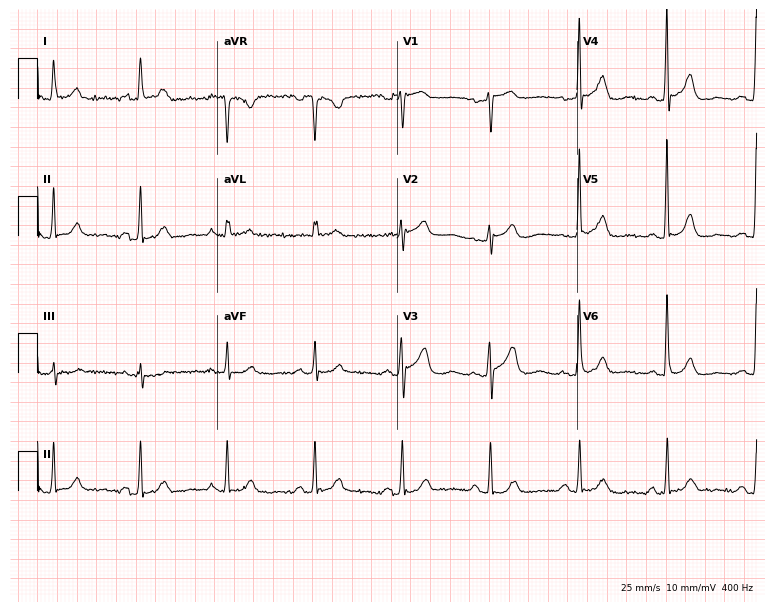
Resting 12-lead electrocardiogram (7.3-second recording at 400 Hz). Patient: a woman, 61 years old. Read as a normal ECG.